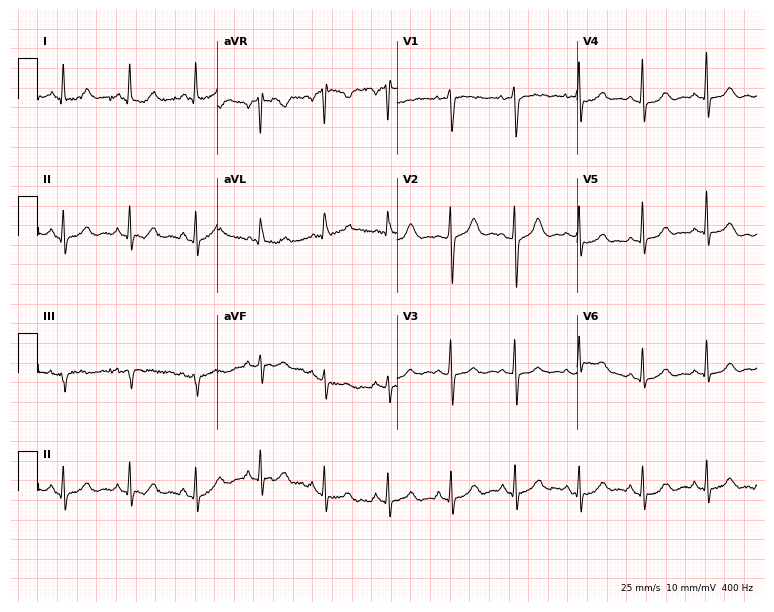
Standard 12-lead ECG recorded from a female patient, 73 years old. Read as a normal ECG.